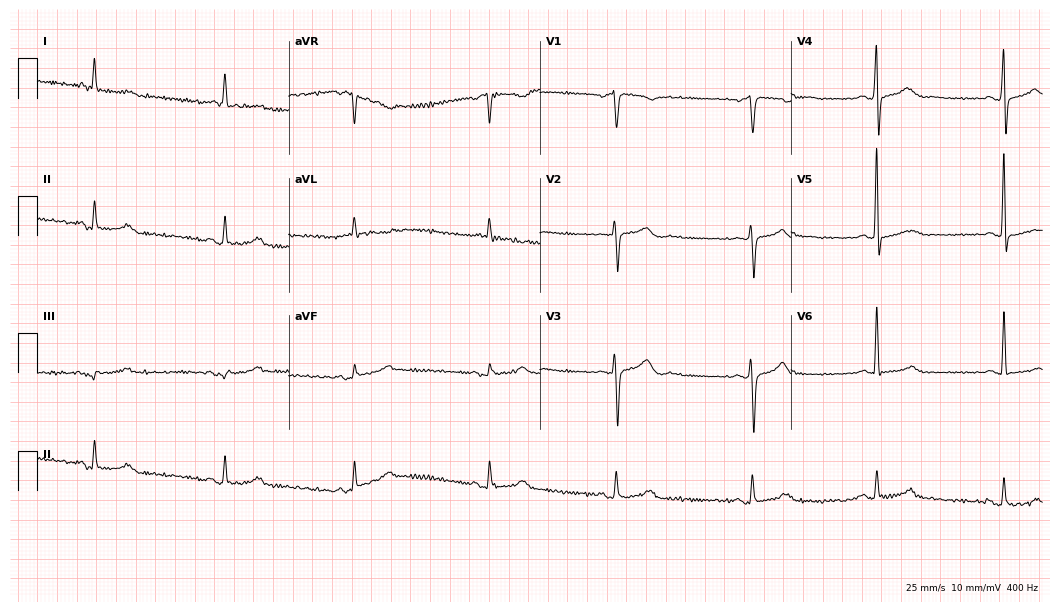
ECG (10.2-second recording at 400 Hz) — a female patient, 70 years old. Labelled as a normal ECG.